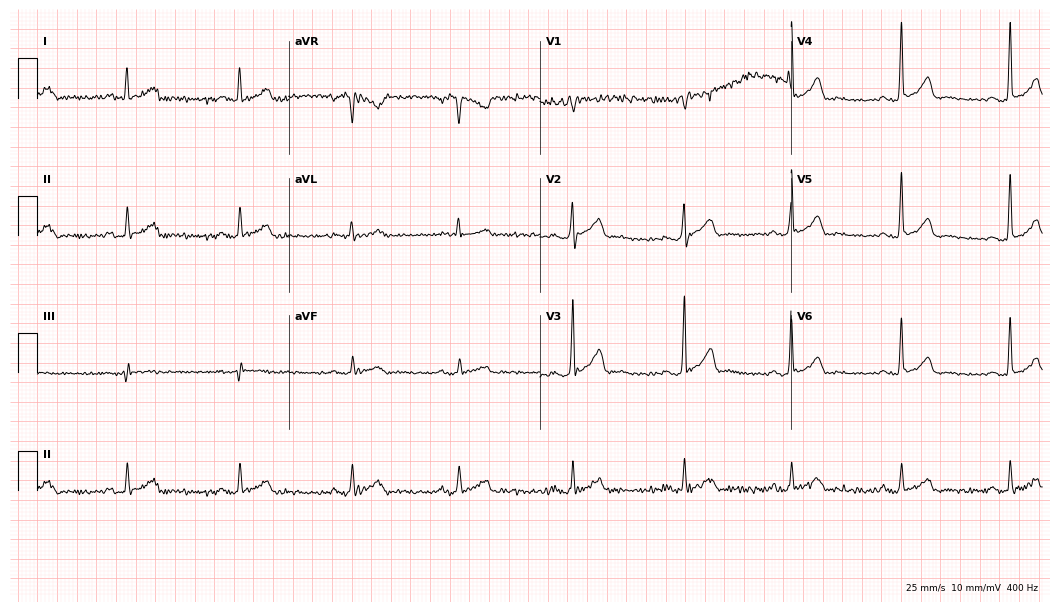
12-lead ECG (10.2-second recording at 400 Hz) from a 42-year-old man. Labelled as a normal ECG.